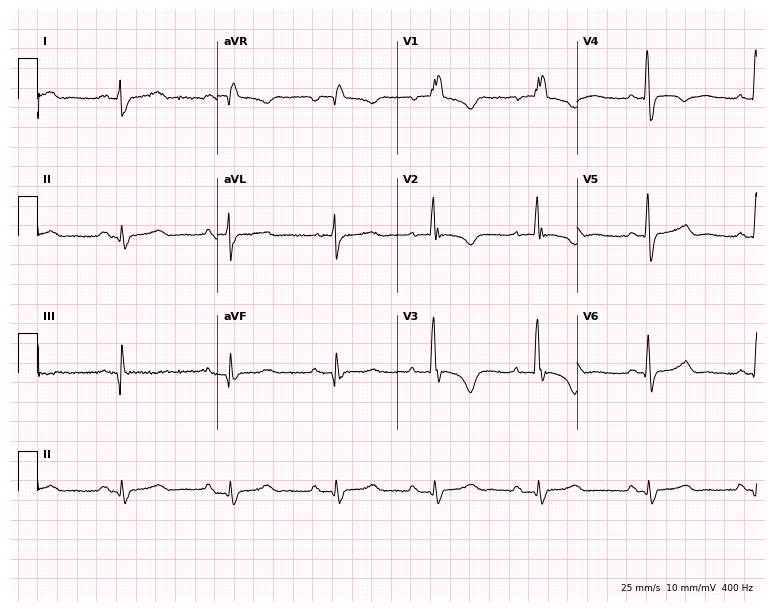
Electrocardiogram (7.3-second recording at 400 Hz), a 45-year-old female patient. Interpretation includes right bundle branch block (RBBB).